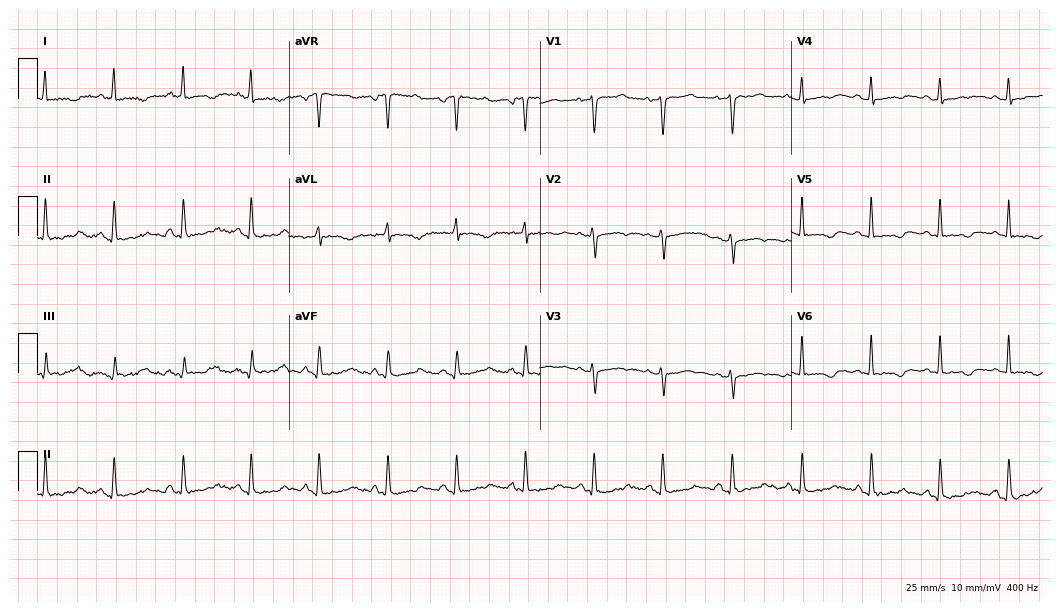
12-lead ECG from a female patient, 48 years old. Screened for six findings — first-degree AV block, right bundle branch block, left bundle branch block, sinus bradycardia, atrial fibrillation, sinus tachycardia — none is recorded.